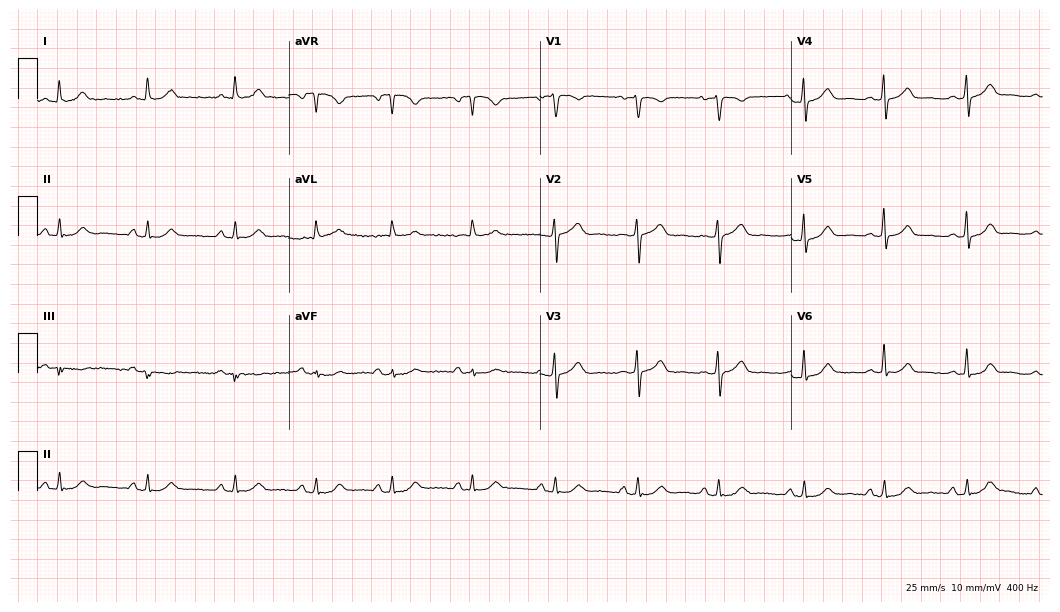
Resting 12-lead electrocardiogram. Patient: a woman, 51 years old. Read as a normal ECG.